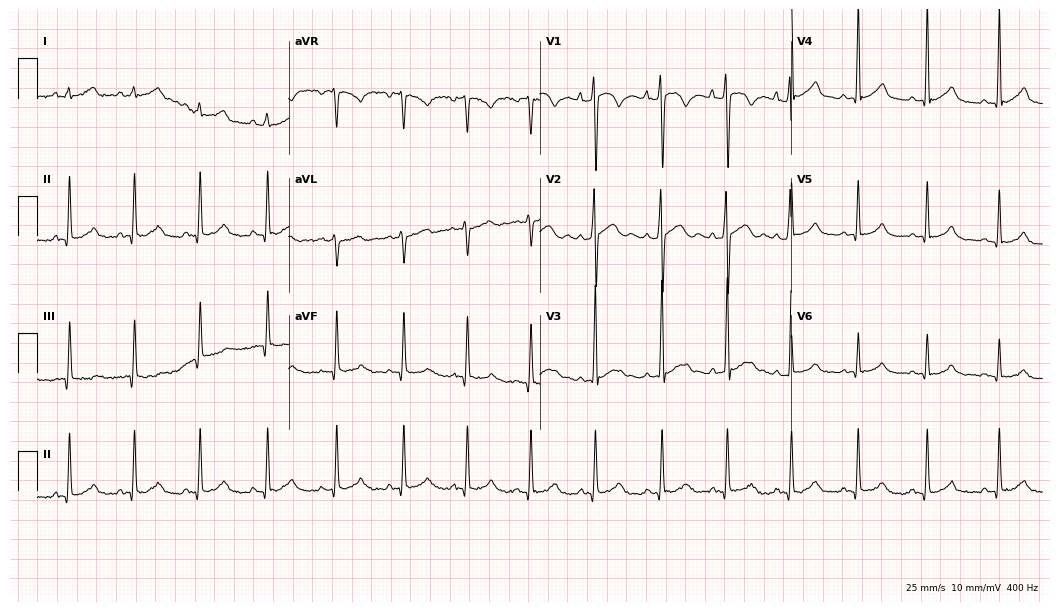
Standard 12-lead ECG recorded from a male patient, 17 years old. Read as a normal ECG.